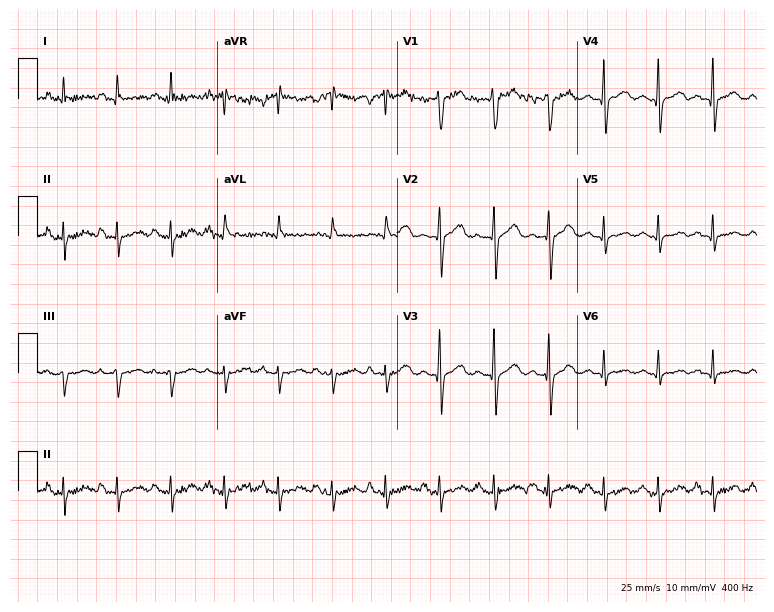
Electrocardiogram (7.3-second recording at 400 Hz), a 54-year-old male patient. Interpretation includes sinus tachycardia (a sinus rate of 100 beats per minute or more).